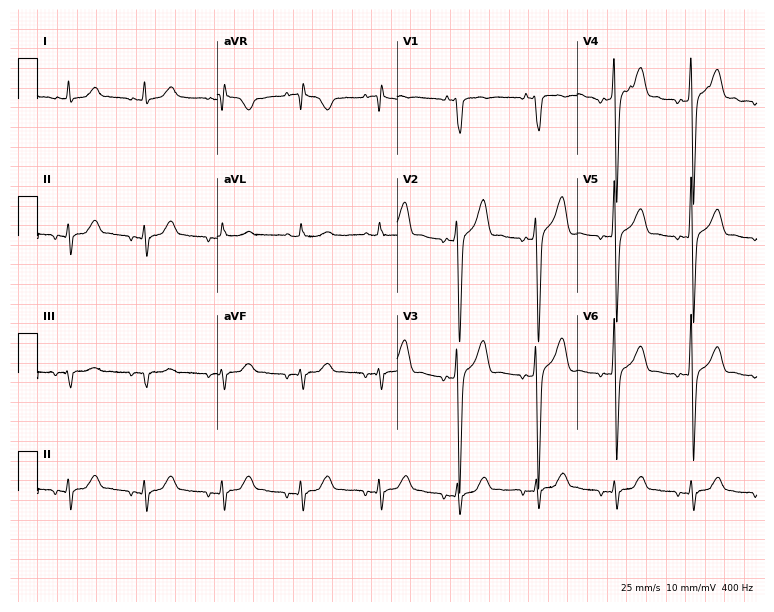
Electrocardiogram, a 44-year-old male patient. Of the six screened findings (first-degree AV block, right bundle branch block, left bundle branch block, sinus bradycardia, atrial fibrillation, sinus tachycardia), none is recorded.